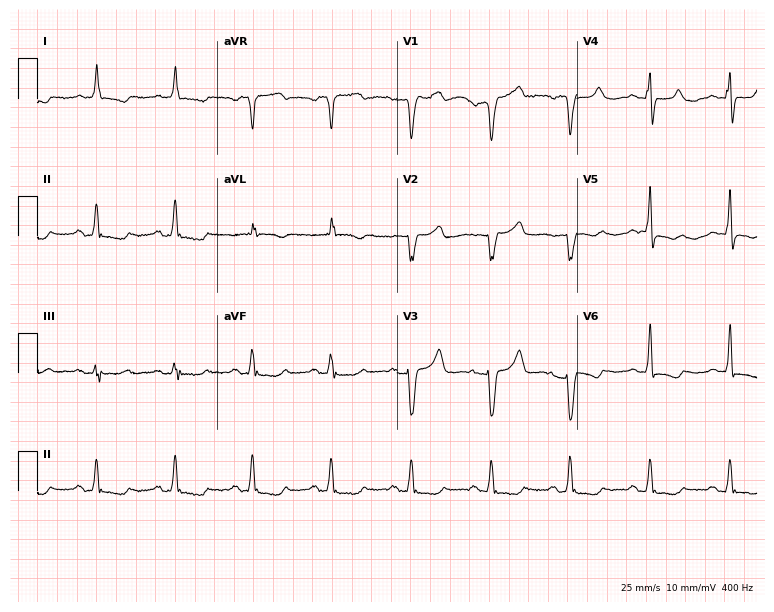
Resting 12-lead electrocardiogram. Patient: an 81-year-old female. None of these six findings is recorded: first-degree AV block, right bundle branch block, left bundle branch block, sinus bradycardia, atrial fibrillation, sinus tachycardia.